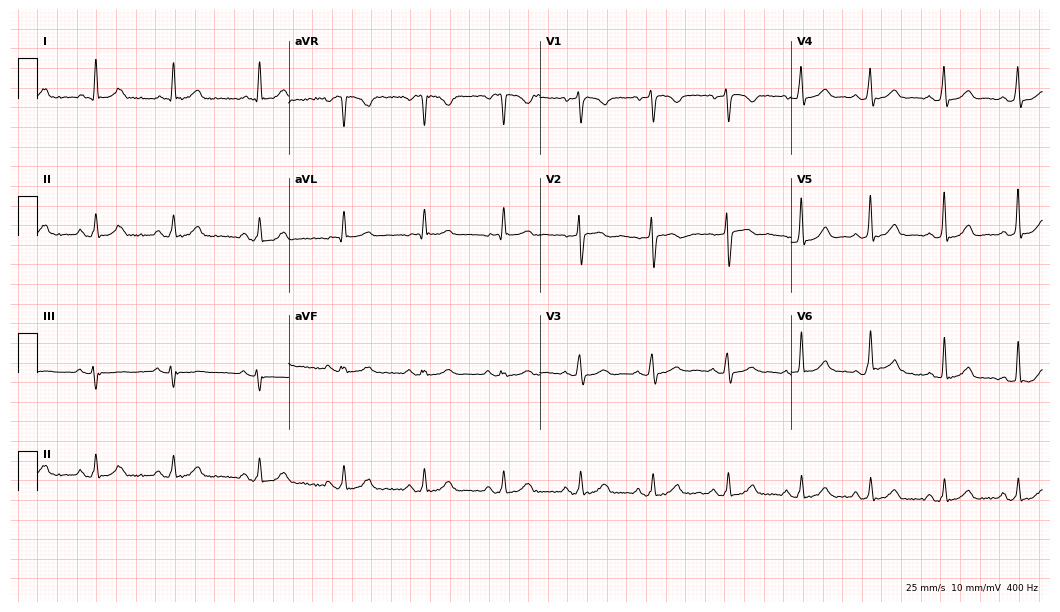
Standard 12-lead ECG recorded from a male, 52 years old. Read as a normal ECG.